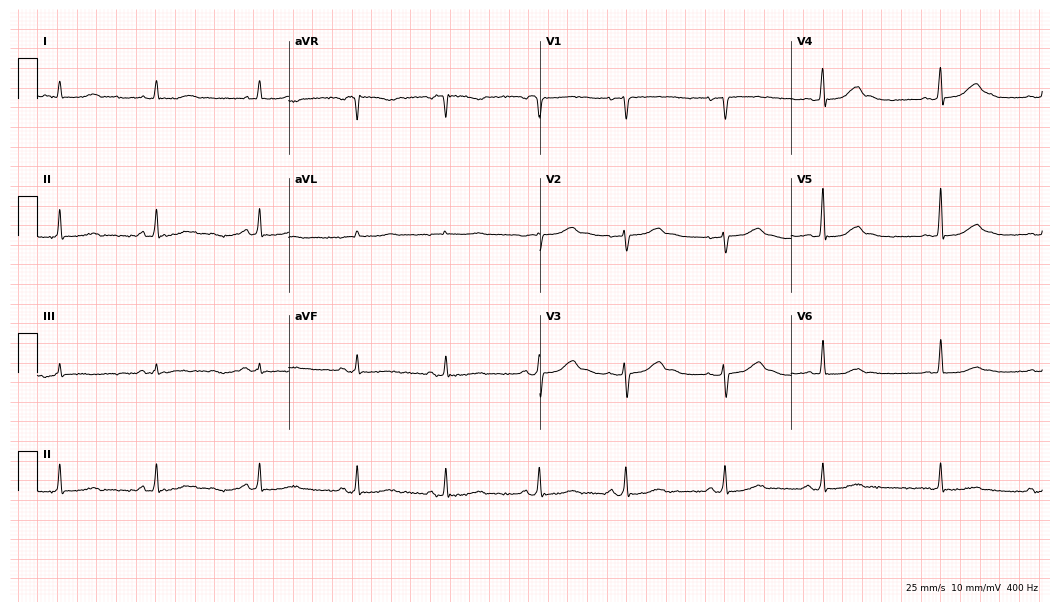
Standard 12-lead ECG recorded from a female patient, 50 years old. None of these six findings is recorded: first-degree AV block, right bundle branch block (RBBB), left bundle branch block (LBBB), sinus bradycardia, atrial fibrillation (AF), sinus tachycardia. Findings outside these six are not listed.